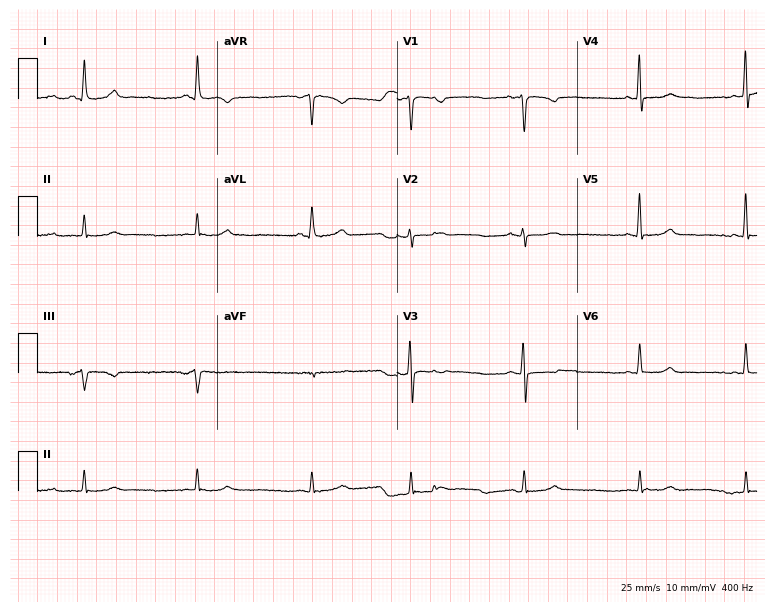
ECG (7.3-second recording at 400 Hz) — a female patient, 18 years old. Labelled as a normal ECG.